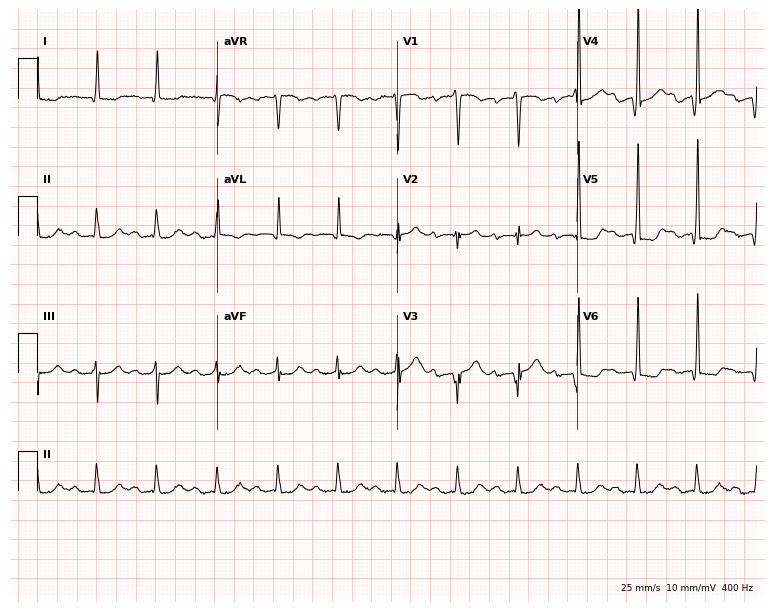
Standard 12-lead ECG recorded from a 77-year-old male. The tracing shows first-degree AV block.